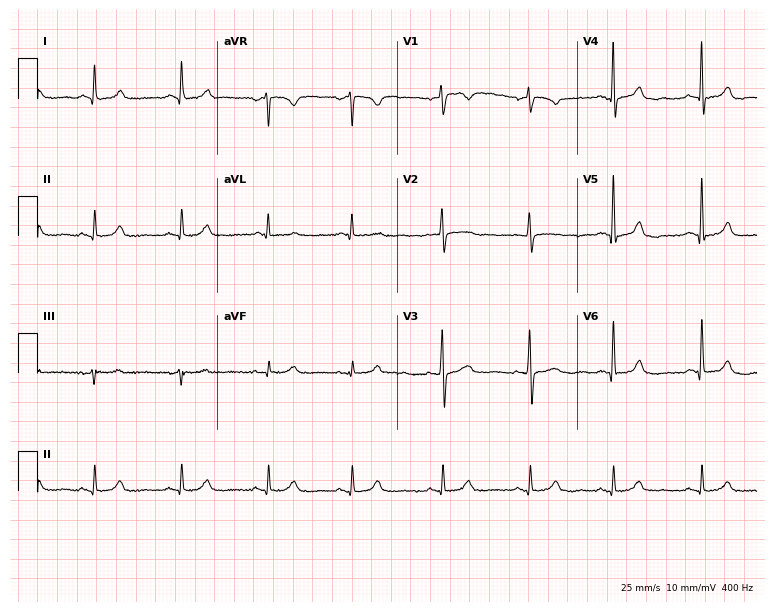
12-lead ECG from a 48-year-old woman (7.3-second recording at 400 Hz). No first-degree AV block, right bundle branch block (RBBB), left bundle branch block (LBBB), sinus bradycardia, atrial fibrillation (AF) or sinus tachycardia recorded for this tracing.